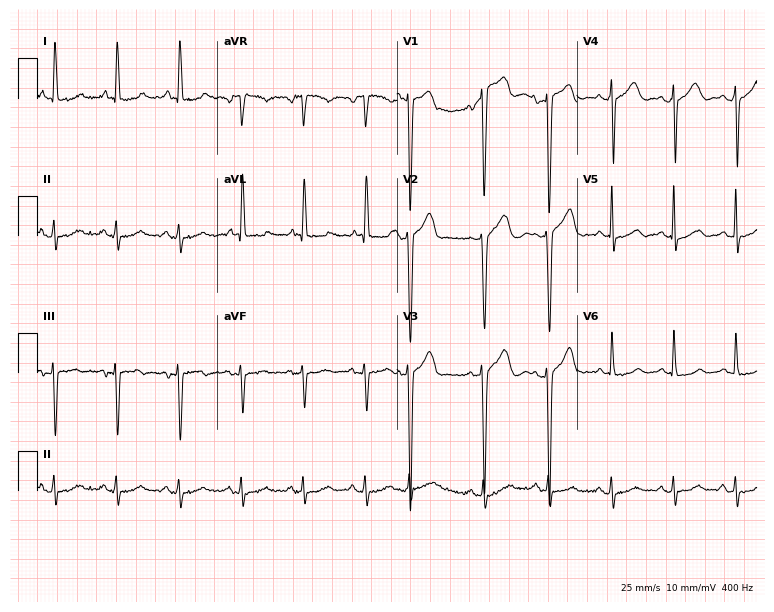
ECG — an 84-year-old man. Screened for six findings — first-degree AV block, right bundle branch block, left bundle branch block, sinus bradycardia, atrial fibrillation, sinus tachycardia — none is recorded.